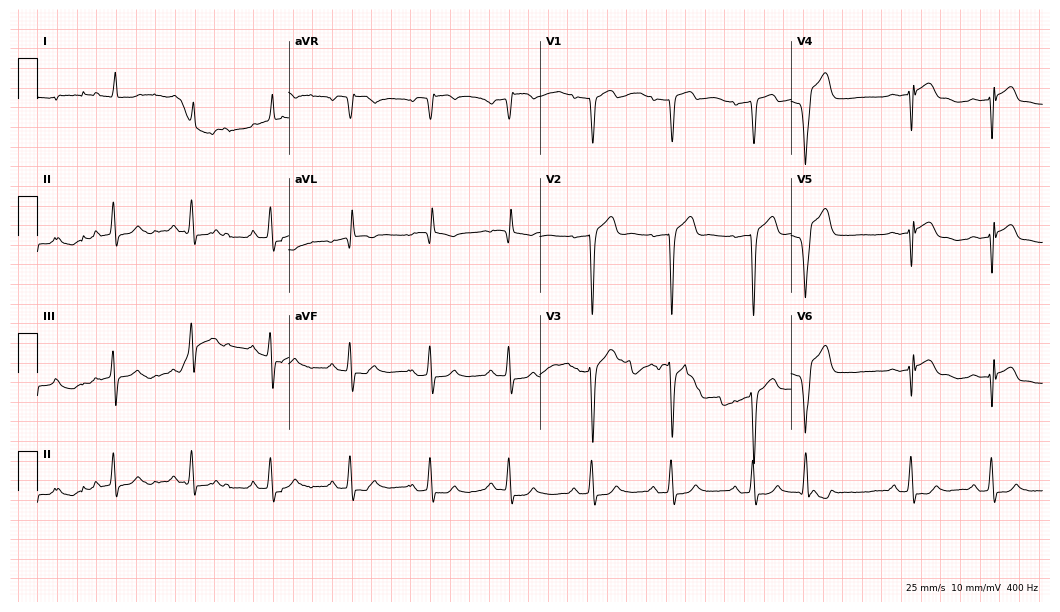
ECG — an 83-year-old man. Screened for six findings — first-degree AV block, right bundle branch block, left bundle branch block, sinus bradycardia, atrial fibrillation, sinus tachycardia — none is recorded. Other findings, if any, are not listed.